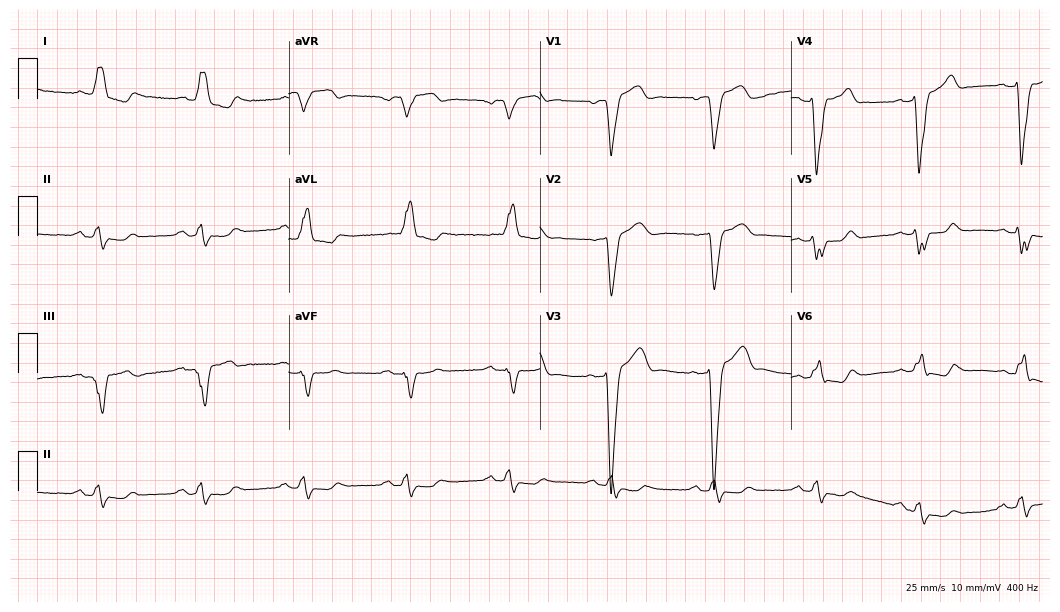
Electrocardiogram, a man, 85 years old. Interpretation includes left bundle branch block (LBBB).